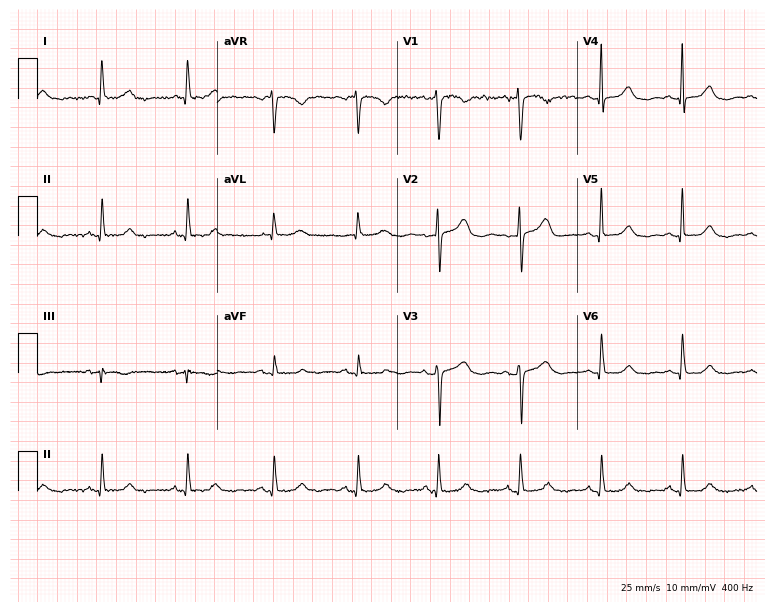
ECG (7.3-second recording at 400 Hz) — a female patient, 65 years old. Screened for six findings — first-degree AV block, right bundle branch block, left bundle branch block, sinus bradycardia, atrial fibrillation, sinus tachycardia — none is recorded.